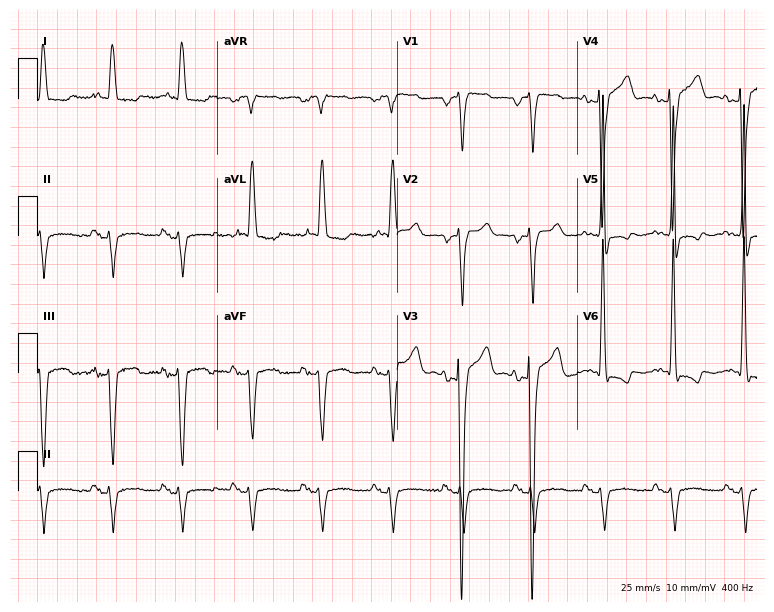
Standard 12-lead ECG recorded from a male, 77 years old. None of these six findings is recorded: first-degree AV block, right bundle branch block, left bundle branch block, sinus bradycardia, atrial fibrillation, sinus tachycardia.